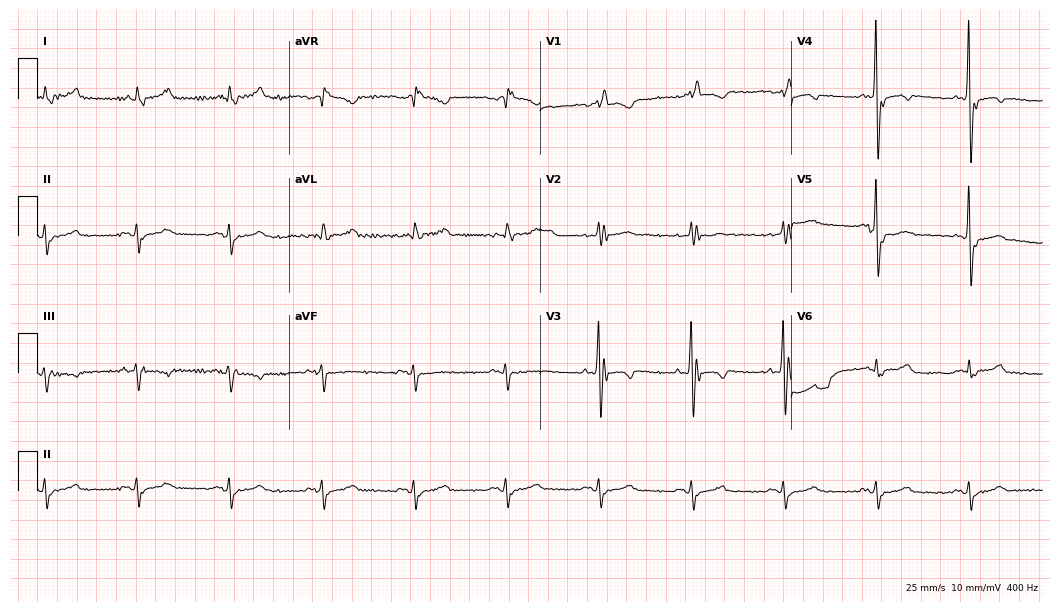
Electrocardiogram, a male patient, 80 years old. Interpretation includes right bundle branch block (RBBB).